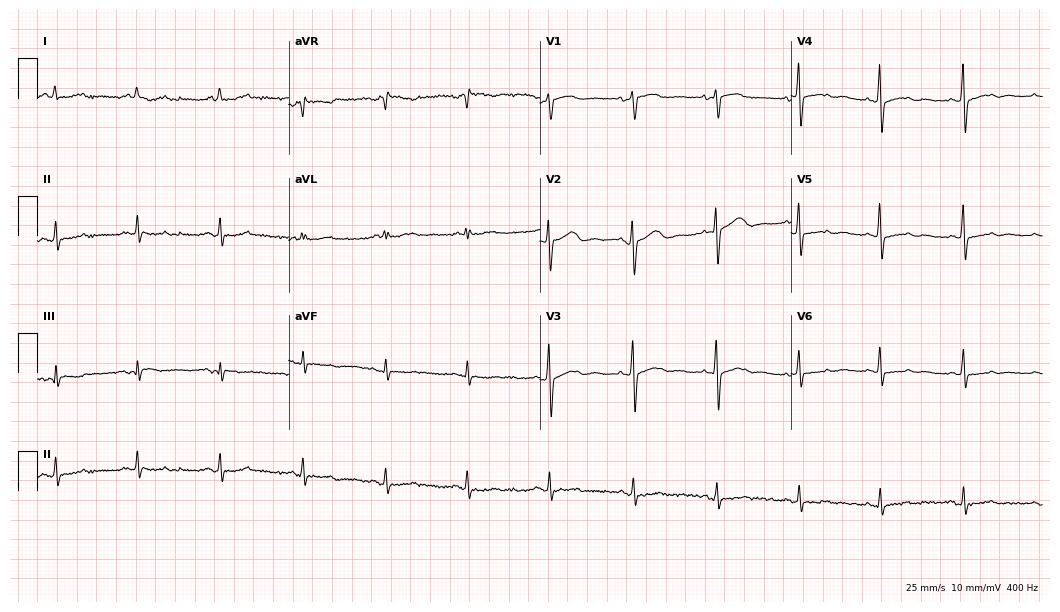
Resting 12-lead electrocardiogram. Patient: a female, 67 years old. Read as a normal ECG.